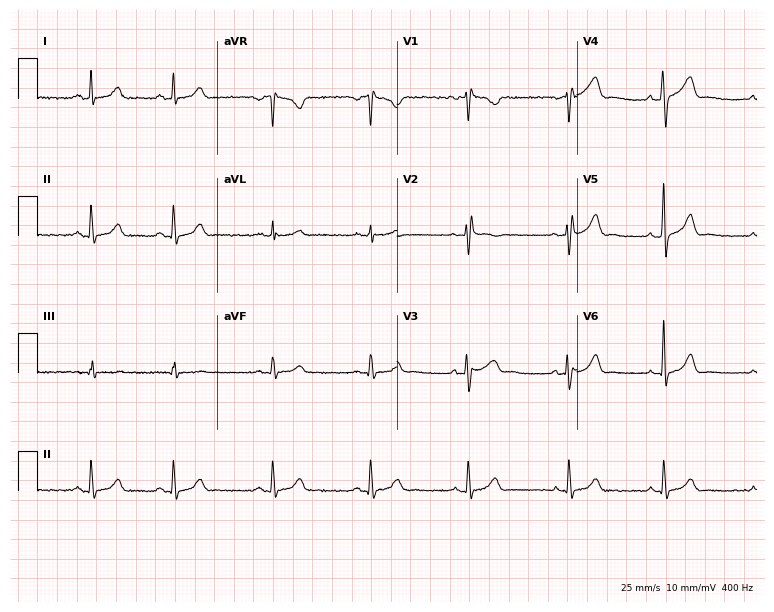
12-lead ECG (7.3-second recording at 400 Hz) from a 28-year-old woman. Screened for six findings — first-degree AV block, right bundle branch block, left bundle branch block, sinus bradycardia, atrial fibrillation, sinus tachycardia — none is recorded. Other findings, if any, are not listed.